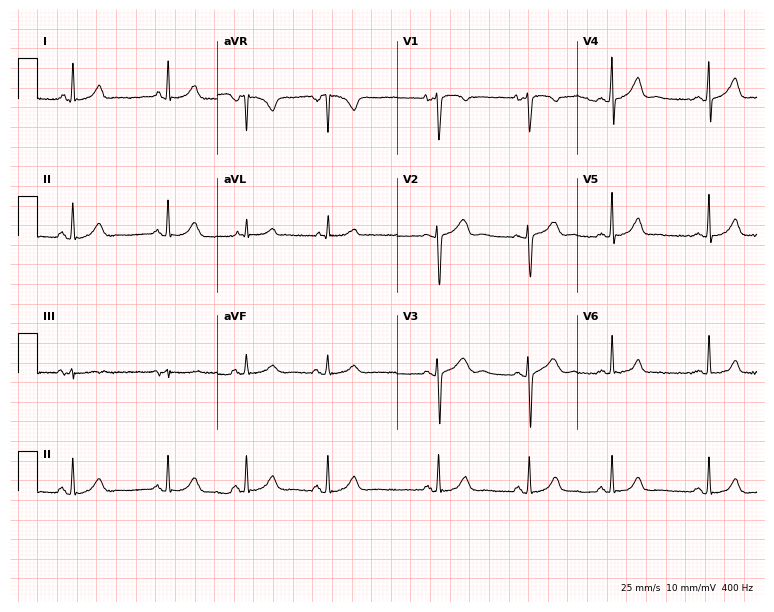
Standard 12-lead ECG recorded from a female patient, 19 years old (7.3-second recording at 400 Hz). Read as a normal ECG.